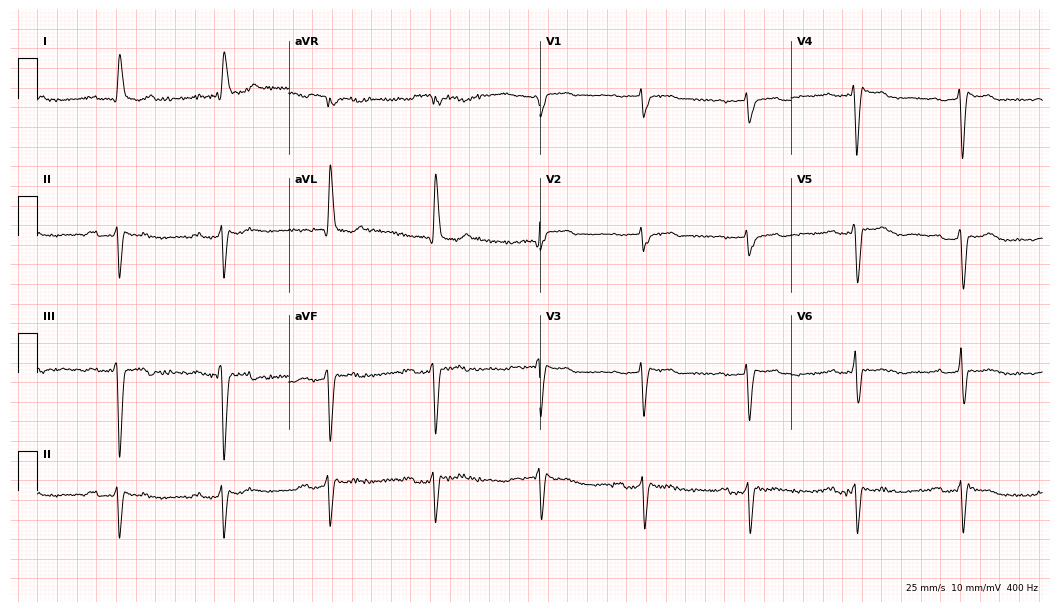
Standard 12-lead ECG recorded from a 76-year-old female patient (10.2-second recording at 400 Hz). None of these six findings is recorded: first-degree AV block, right bundle branch block, left bundle branch block, sinus bradycardia, atrial fibrillation, sinus tachycardia. Other findings, if any, are not listed.